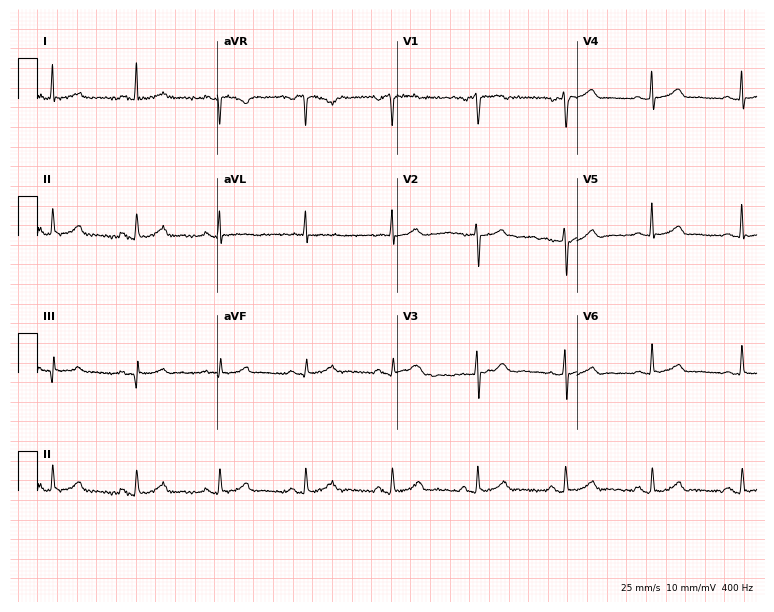
Standard 12-lead ECG recorded from a female patient, 62 years old. None of these six findings is recorded: first-degree AV block, right bundle branch block, left bundle branch block, sinus bradycardia, atrial fibrillation, sinus tachycardia.